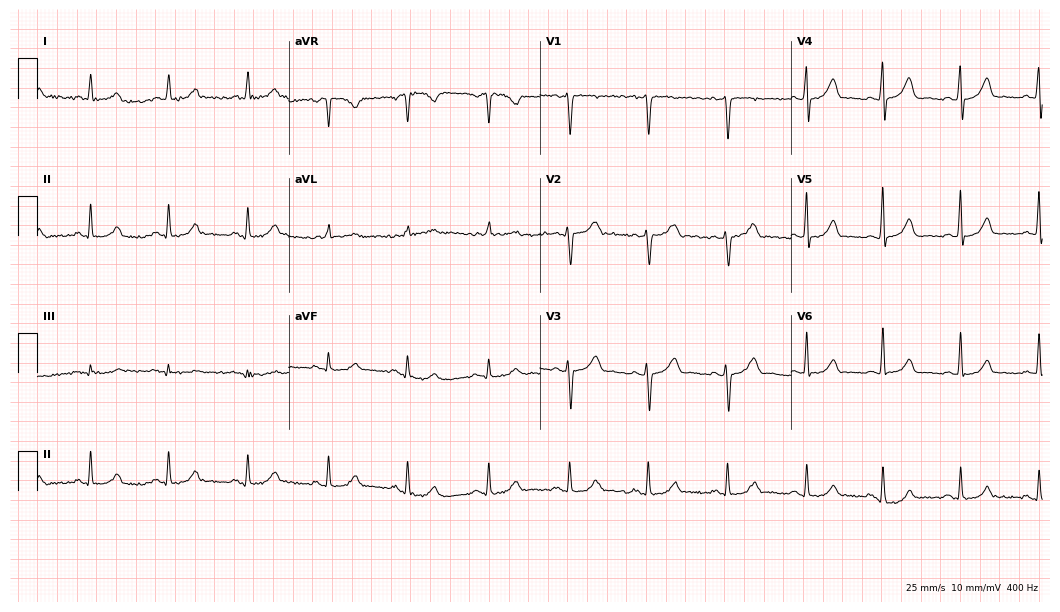
Resting 12-lead electrocardiogram. Patient: a 48-year-old female. Read as a normal ECG.